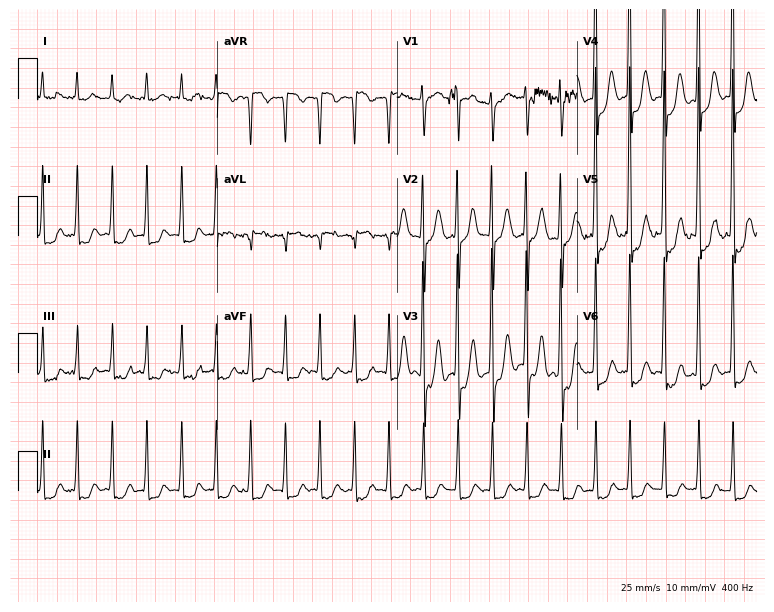
12-lead ECG from a 52-year-old female. Screened for six findings — first-degree AV block, right bundle branch block, left bundle branch block, sinus bradycardia, atrial fibrillation, sinus tachycardia — none is recorded.